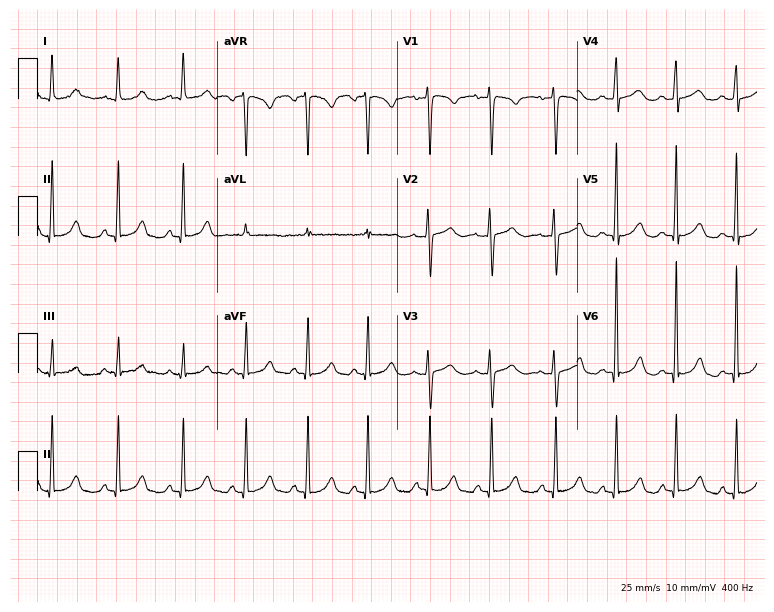
ECG (7.3-second recording at 400 Hz) — a woman, 41 years old. Screened for six findings — first-degree AV block, right bundle branch block, left bundle branch block, sinus bradycardia, atrial fibrillation, sinus tachycardia — none is recorded.